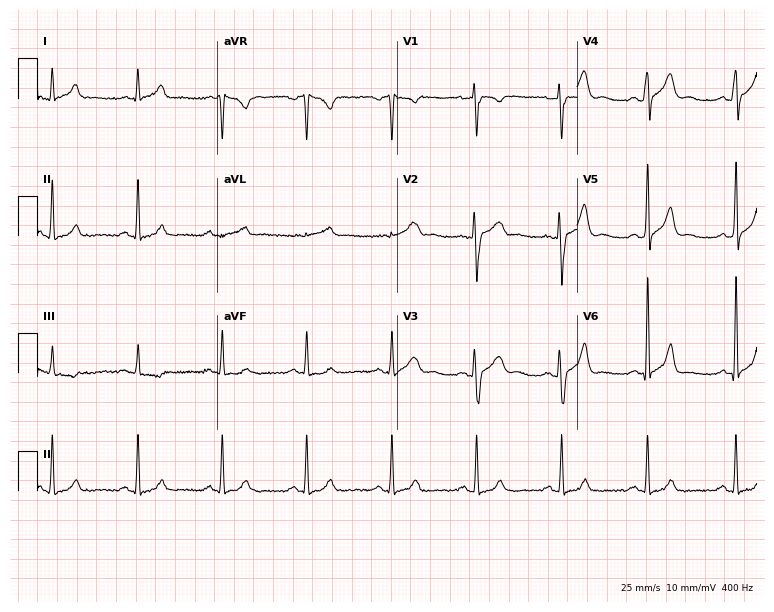
12-lead ECG from a man, 38 years old. Screened for six findings — first-degree AV block, right bundle branch block, left bundle branch block, sinus bradycardia, atrial fibrillation, sinus tachycardia — none is recorded. Other findings, if any, are not listed.